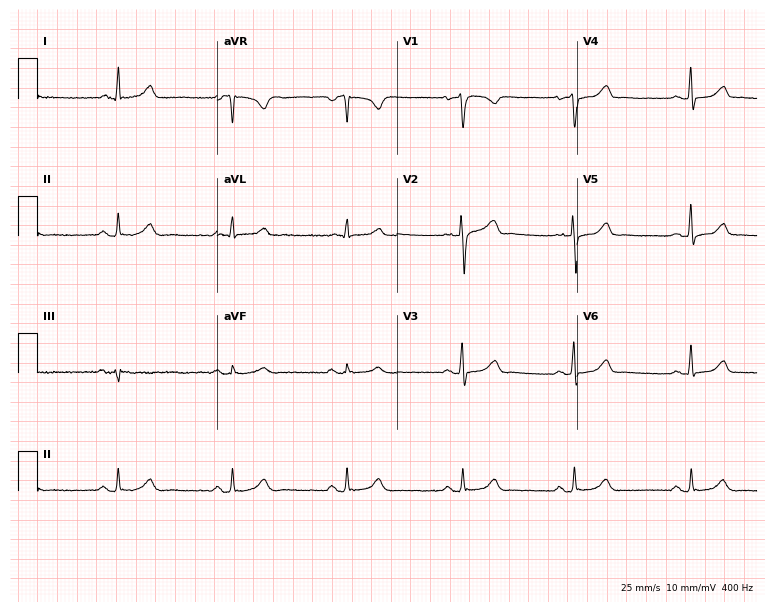
Electrocardiogram, a 59-year-old female. Of the six screened findings (first-degree AV block, right bundle branch block, left bundle branch block, sinus bradycardia, atrial fibrillation, sinus tachycardia), none is recorded. Only these six findings were labelled.